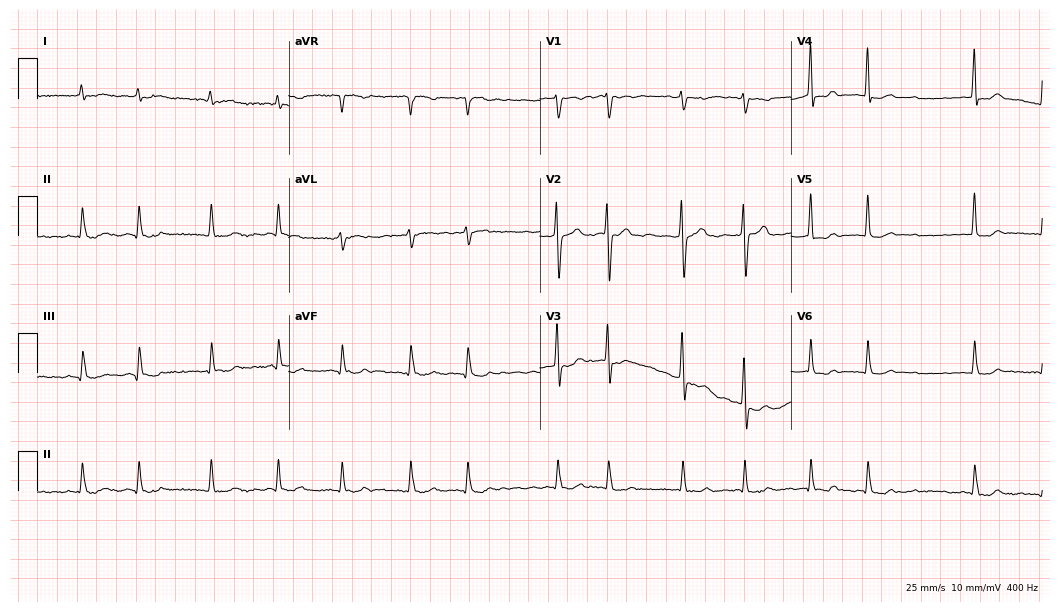
Resting 12-lead electrocardiogram. Patient: a woman, 72 years old. The tracing shows atrial fibrillation (AF).